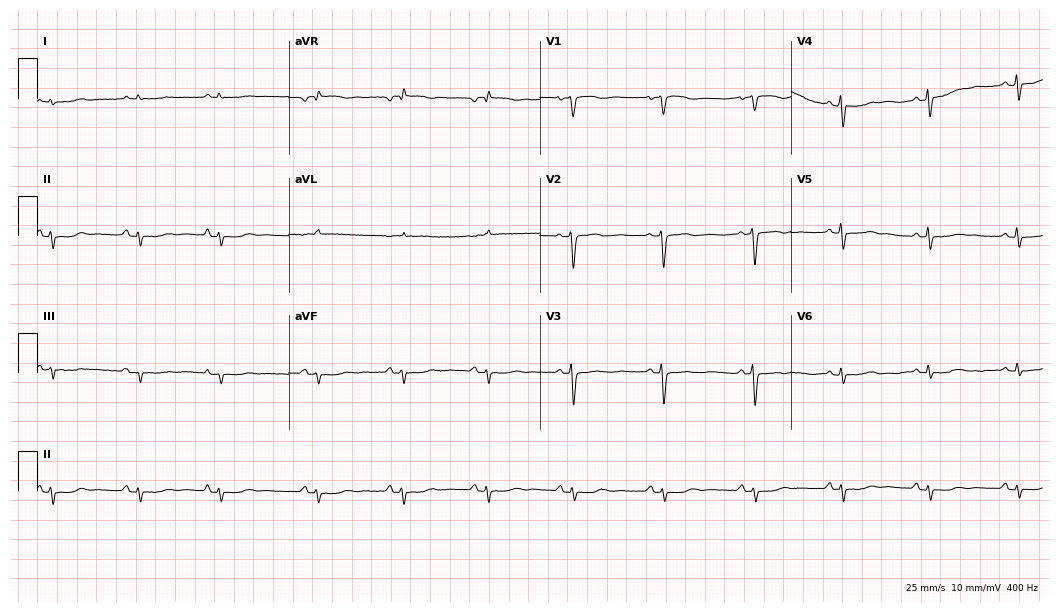
Electrocardiogram (10.2-second recording at 400 Hz), a man, 67 years old. Of the six screened findings (first-degree AV block, right bundle branch block (RBBB), left bundle branch block (LBBB), sinus bradycardia, atrial fibrillation (AF), sinus tachycardia), none is recorded.